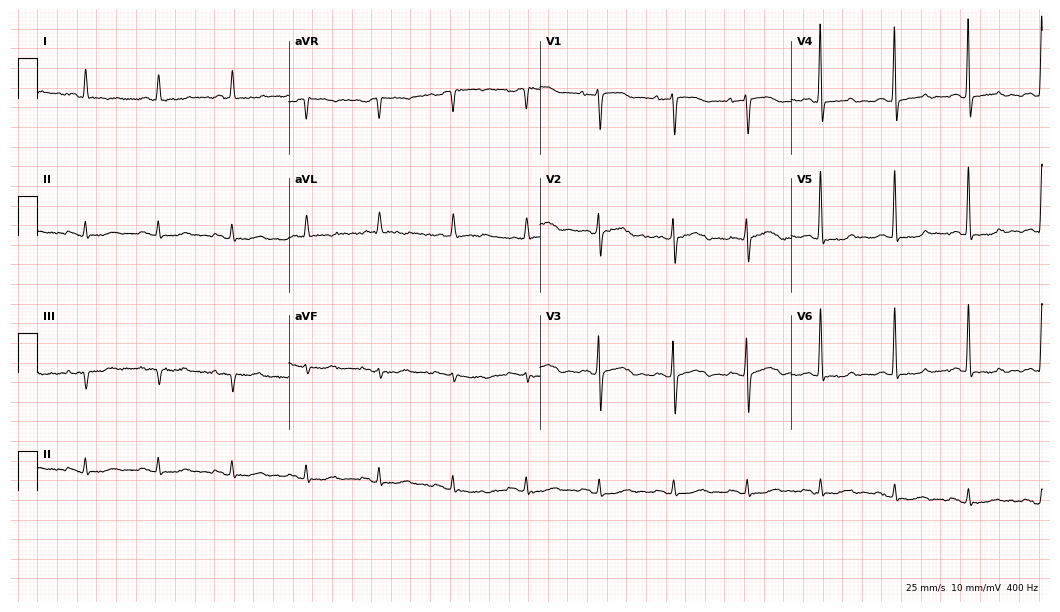
ECG — a 72-year-old woman. Screened for six findings — first-degree AV block, right bundle branch block, left bundle branch block, sinus bradycardia, atrial fibrillation, sinus tachycardia — none is recorded. Findings outside these six are not listed.